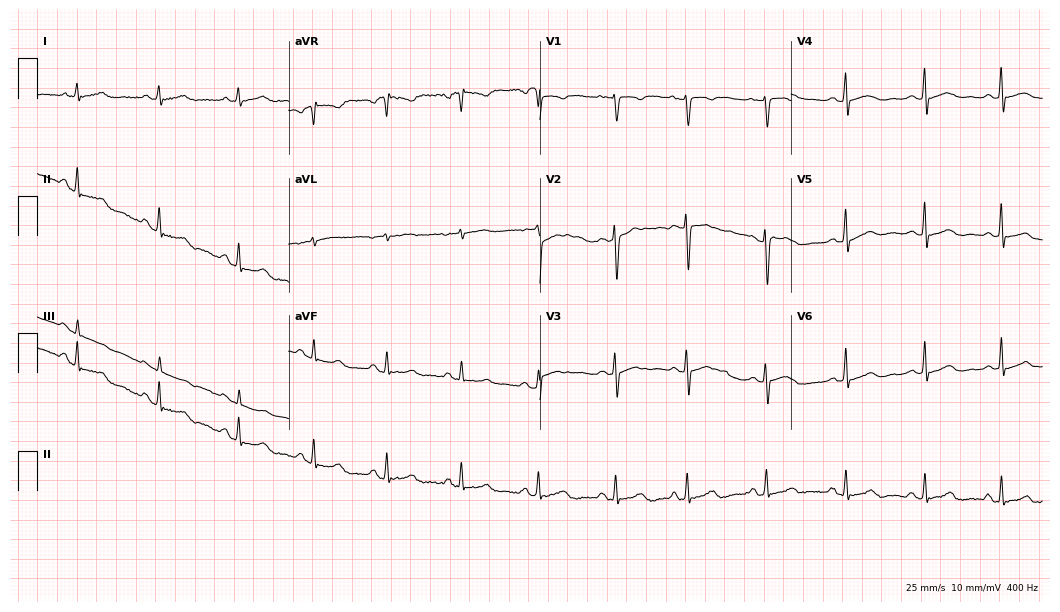
Resting 12-lead electrocardiogram (10.2-second recording at 400 Hz). Patient: a female, 40 years old. None of these six findings is recorded: first-degree AV block, right bundle branch block (RBBB), left bundle branch block (LBBB), sinus bradycardia, atrial fibrillation (AF), sinus tachycardia.